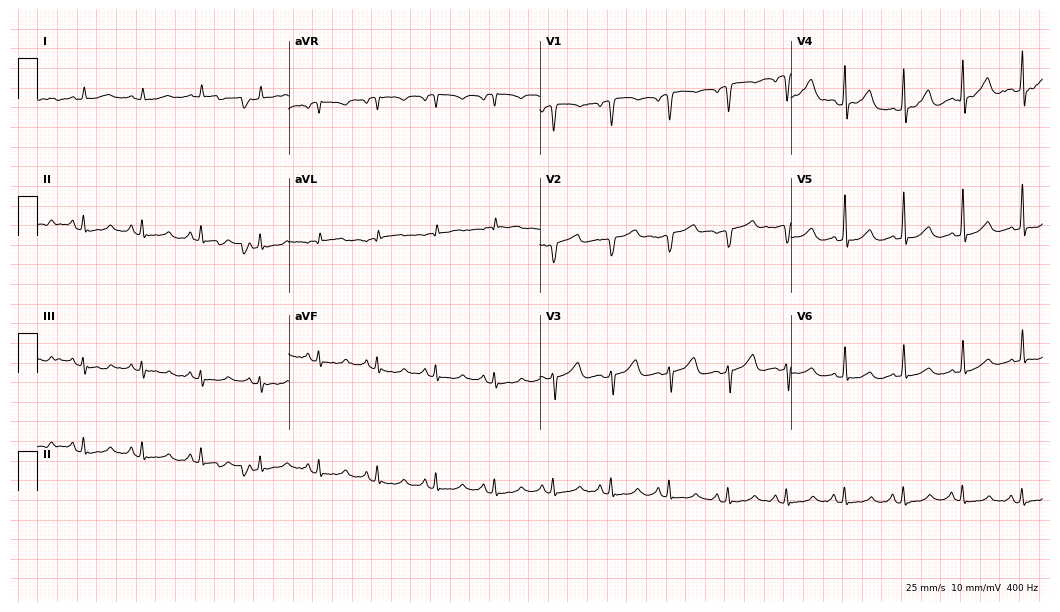
Standard 12-lead ECG recorded from a man, 64 years old (10.2-second recording at 400 Hz). None of these six findings is recorded: first-degree AV block, right bundle branch block (RBBB), left bundle branch block (LBBB), sinus bradycardia, atrial fibrillation (AF), sinus tachycardia.